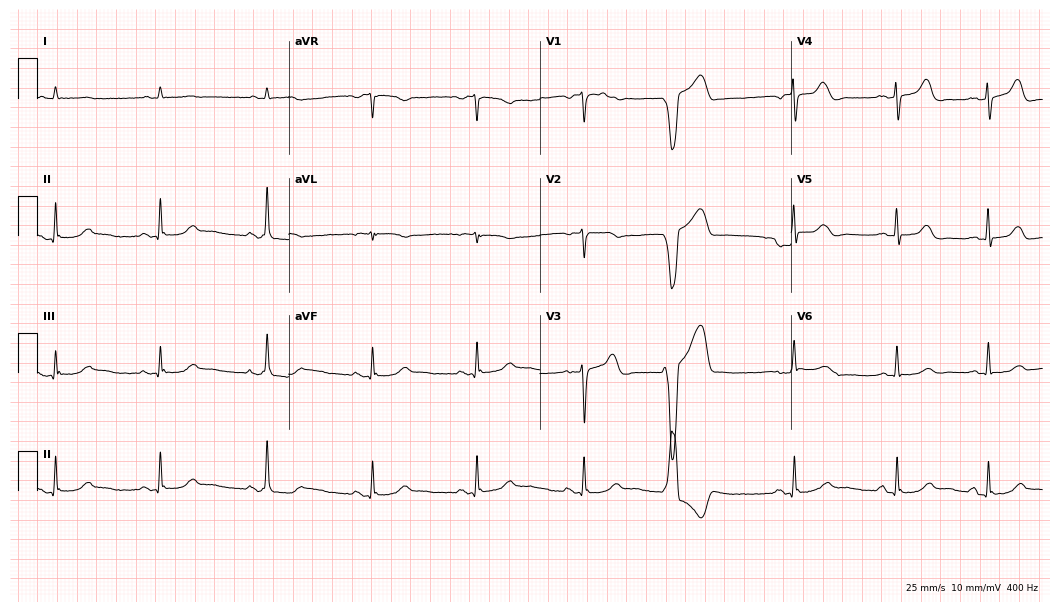
ECG — a 72-year-old male patient. Screened for six findings — first-degree AV block, right bundle branch block, left bundle branch block, sinus bradycardia, atrial fibrillation, sinus tachycardia — none is recorded. Other findings, if any, are not listed.